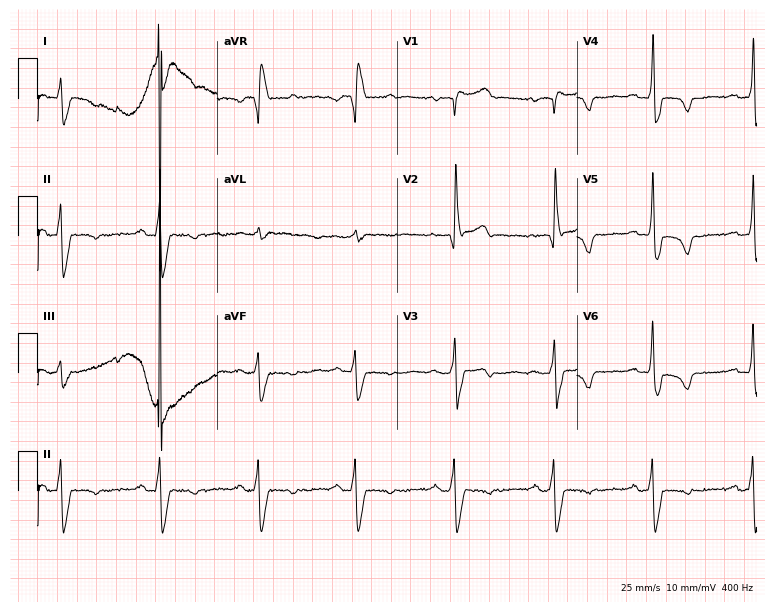
12-lead ECG (7.3-second recording at 400 Hz) from a female, 77 years old. Findings include right bundle branch block (RBBB).